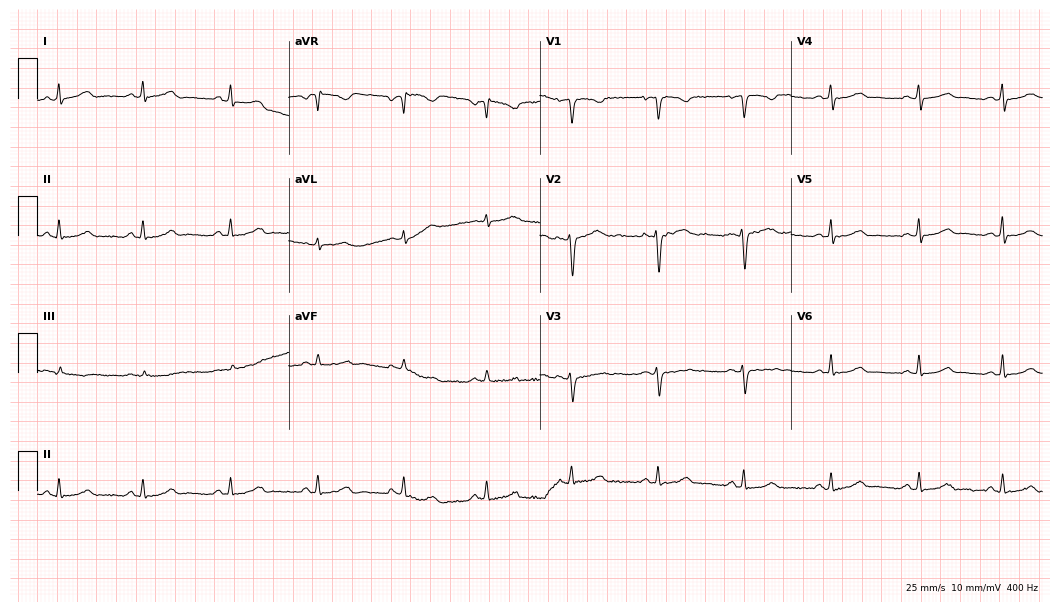
12-lead ECG from a female patient, 37 years old. Recorded interpretation: within normal limits.